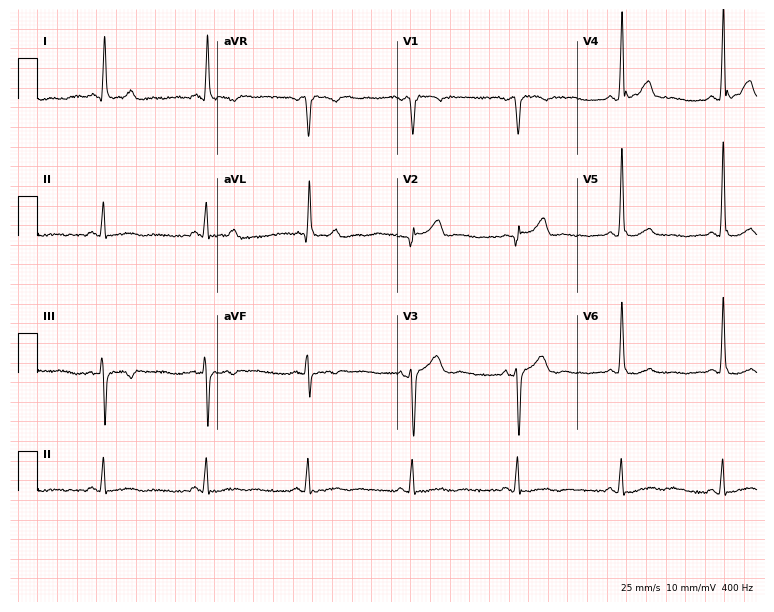
12-lead ECG from a 67-year-old male. No first-degree AV block, right bundle branch block (RBBB), left bundle branch block (LBBB), sinus bradycardia, atrial fibrillation (AF) or sinus tachycardia recorded for this tracing.